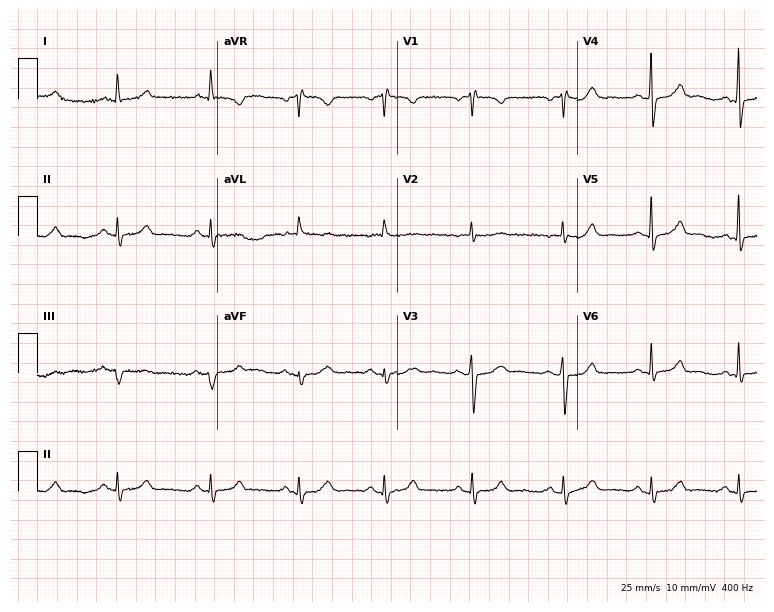
ECG — a woman, 63 years old. Screened for six findings — first-degree AV block, right bundle branch block, left bundle branch block, sinus bradycardia, atrial fibrillation, sinus tachycardia — none is recorded. Only these six findings were labelled.